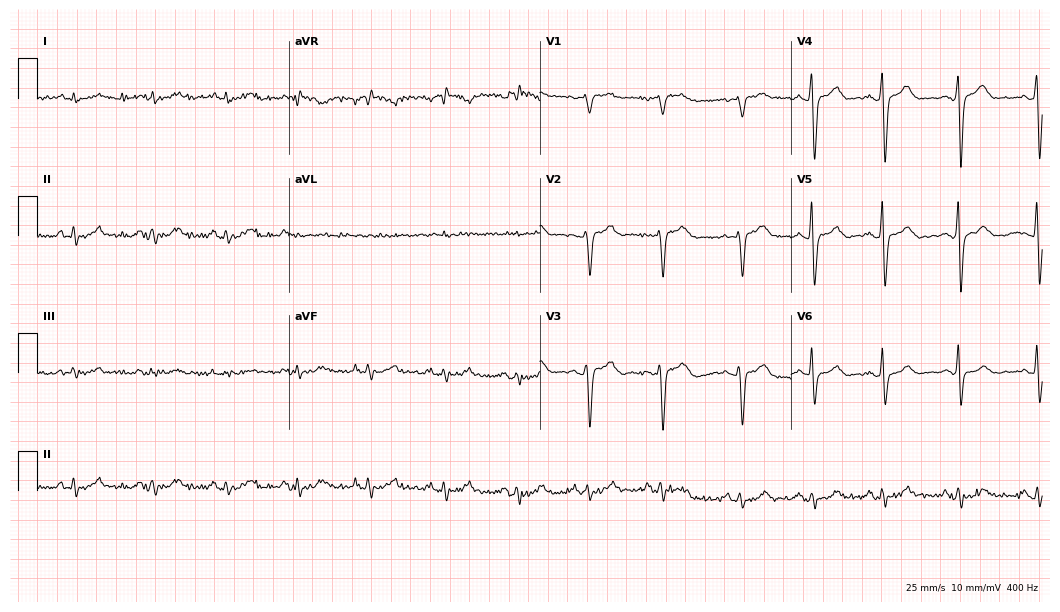
12-lead ECG (10.2-second recording at 400 Hz) from a male, 43 years old. Screened for six findings — first-degree AV block, right bundle branch block, left bundle branch block, sinus bradycardia, atrial fibrillation, sinus tachycardia — none is recorded. Findings outside these six are not listed.